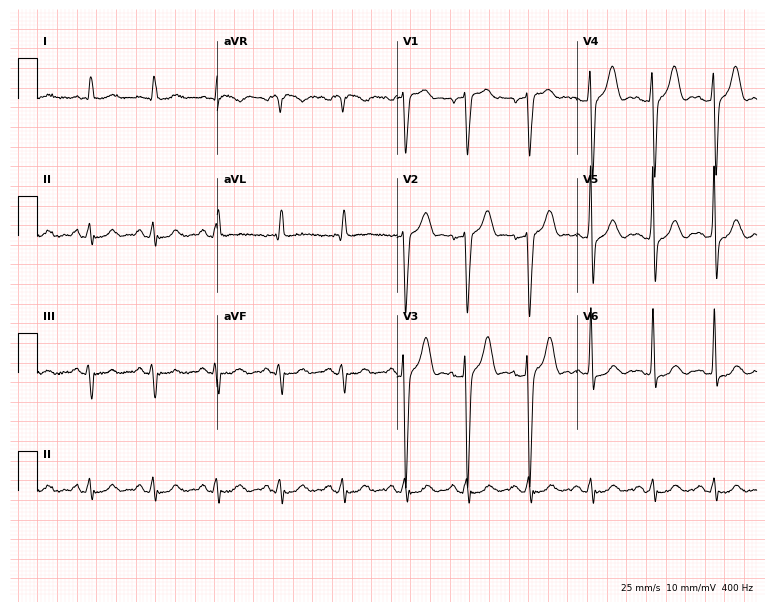
12-lead ECG (7.3-second recording at 400 Hz) from a 36-year-old man. Labelled as a normal ECG.